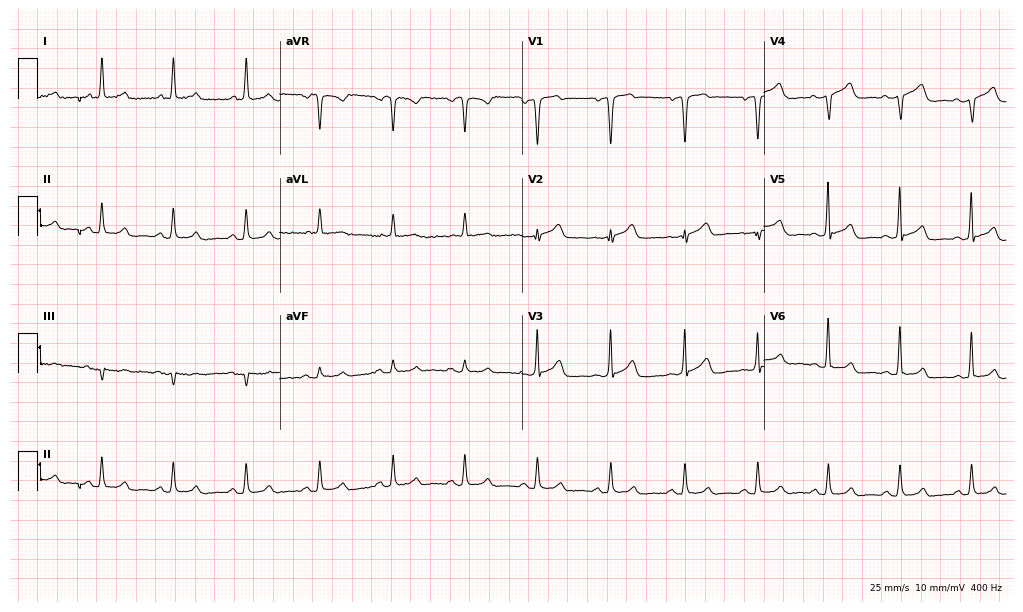
12-lead ECG from a 69-year-old male. Recorded interpretation: within normal limits.